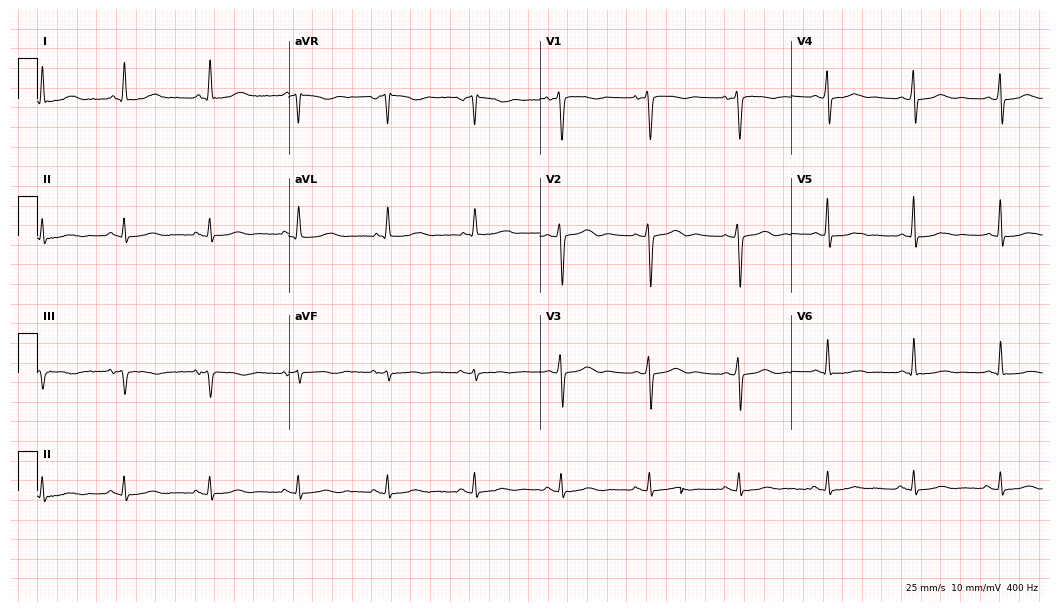
Electrocardiogram (10.2-second recording at 400 Hz), a 57-year-old woman. Of the six screened findings (first-degree AV block, right bundle branch block, left bundle branch block, sinus bradycardia, atrial fibrillation, sinus tachycardia), none is recorded. Other findings, if any, are not listed.